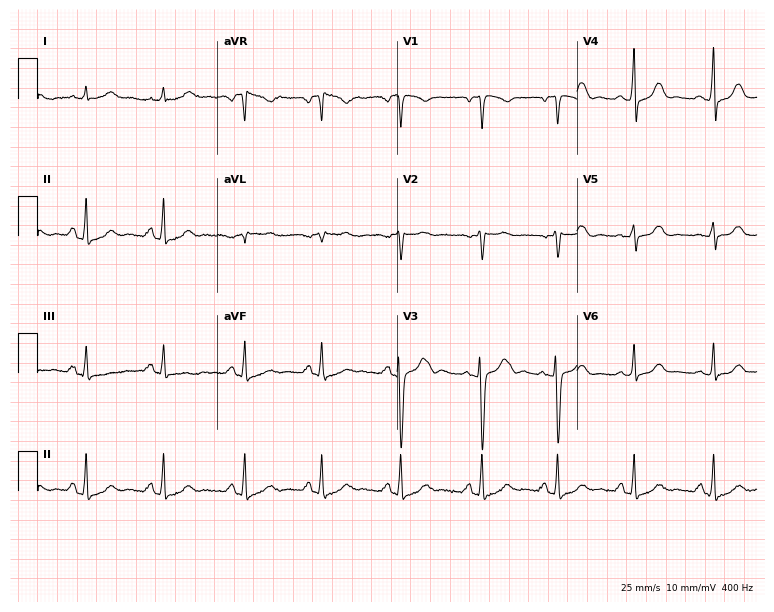
ECG — a 21-year-old female. Screened for six findings — first-degree AV block, right bundle branch block (RBBB), left bundle branch block (LBBB), sinus bradycardia, atrial fibrillation (AF), sinus tachycardia — none is recorded.